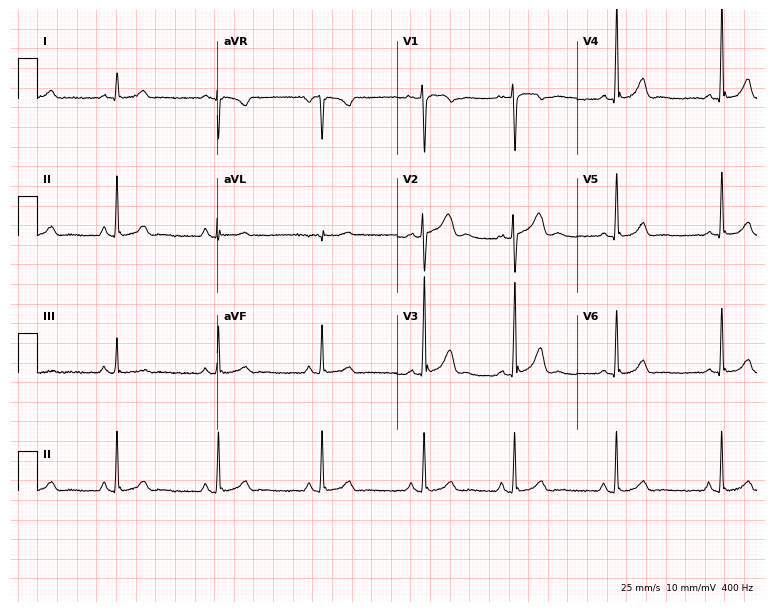
12-lead ECG from a female patient, 18 years old (7.3-second recording at 400 Hz). Recorded interpretation: within normal limits.